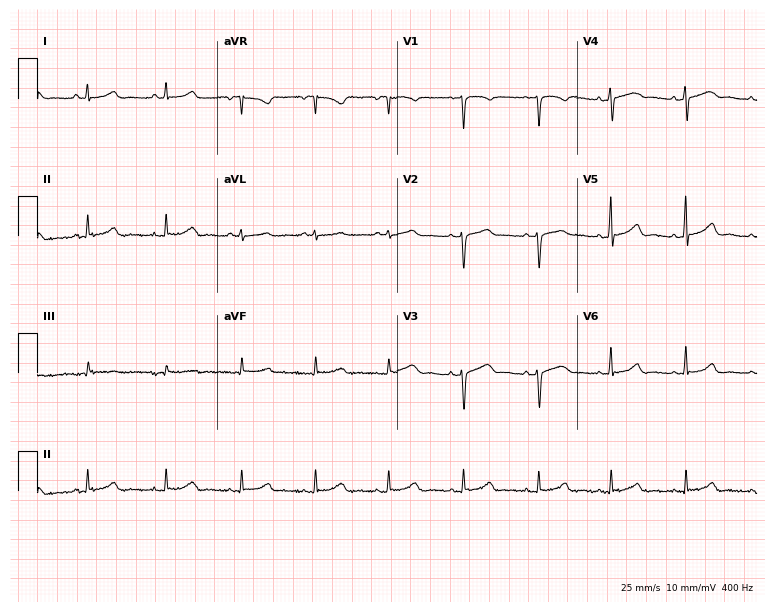
12-lead ECG from a woman, 39 years old (7.3-second recording at 400 Hz). Recorded interpretation: within normal limits.